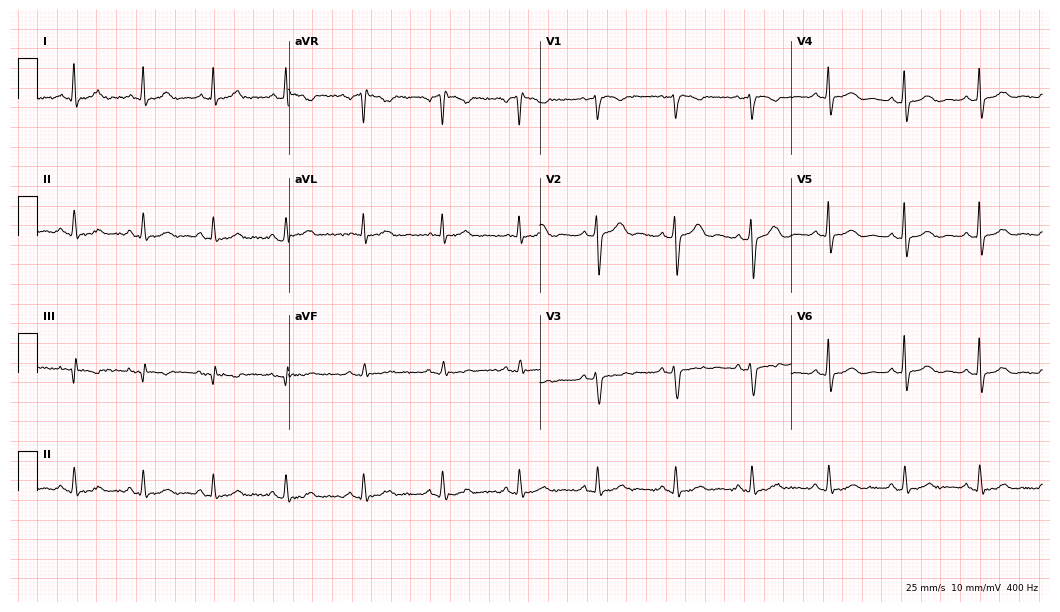
Resting 12-lead electrocardiogram. Patient: a female, 43 years old. Read as a normal ECG.